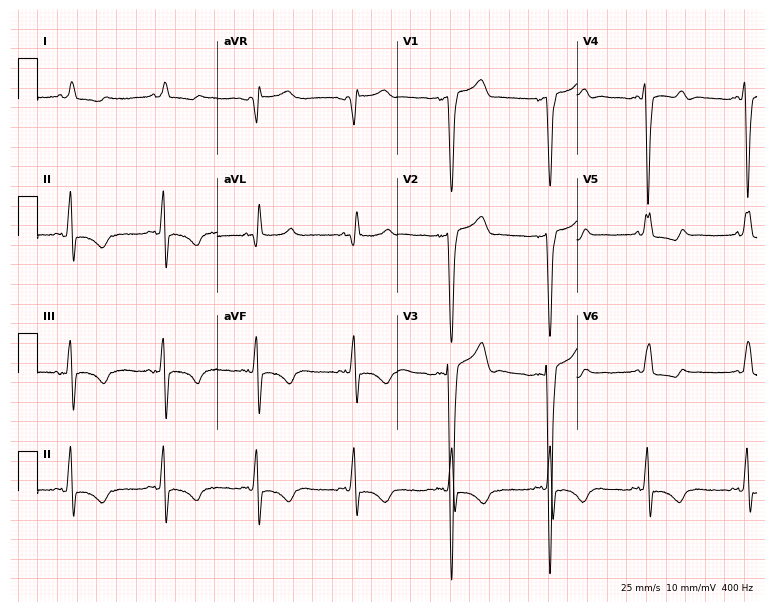
Resting 12-lead electrocardiogram. Patient: a male, 80 years old. The tracing shows left bundle branch block (LBBB).